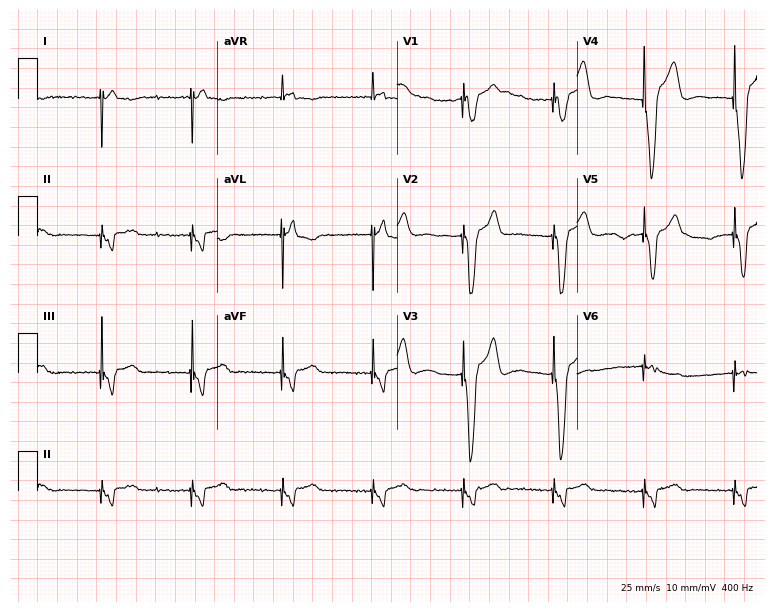
Electrocardiogram, a female patient, 81 years old. Of the six screened findings (first-degree AV block, right bundle branch block, left bundle branch block, sinus bradycardia, atrial fibrillation, sinus tachycardia), none is recorded. Findings outside these six are not listed.